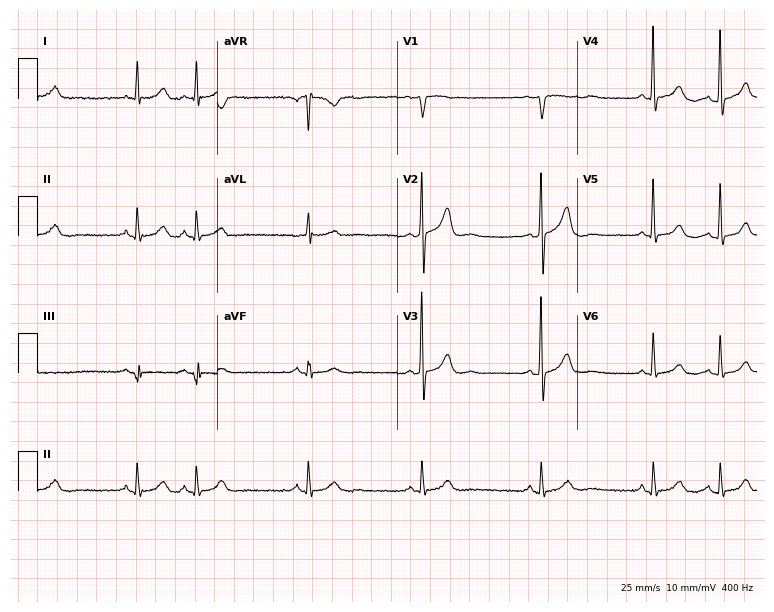
12-lead ECG (7.3-second recording at 400 Hz) from a male patient, 76 years old. Labelled as a normal ECG.